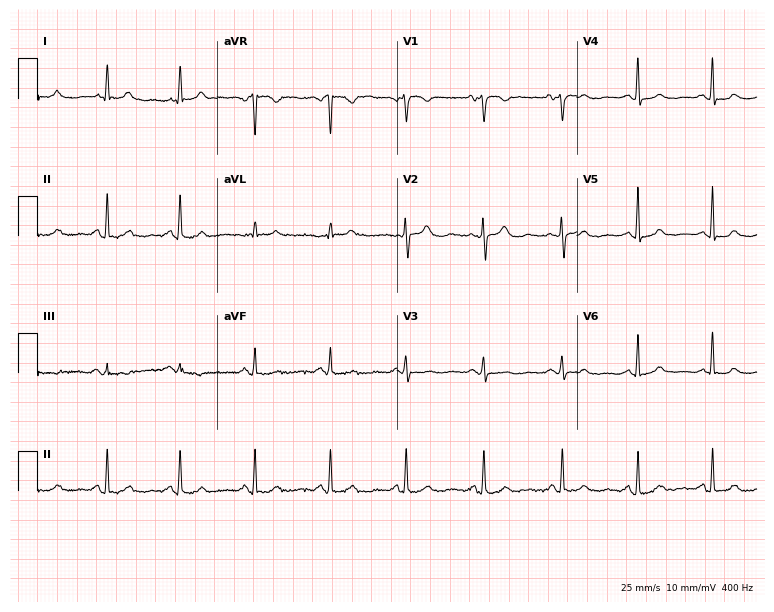
12-lead ECG from a 65-year-old female patient. Screened for six findings — first-degree AV block, right bundle branch block, left bundle branch block, sinus bradycardia, atrial fibrillation, sinus tachycardia — none is recorded.